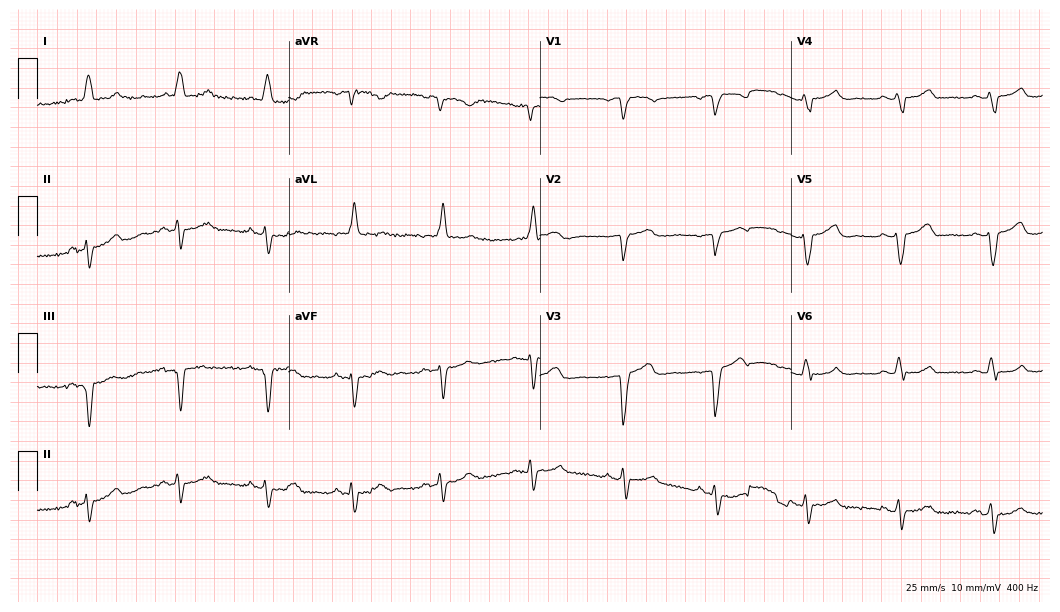
12-lead ECG from a woman, 75 years old (10.2-second recording at 400 Hz). Shows left bundle branch block (LBBB).